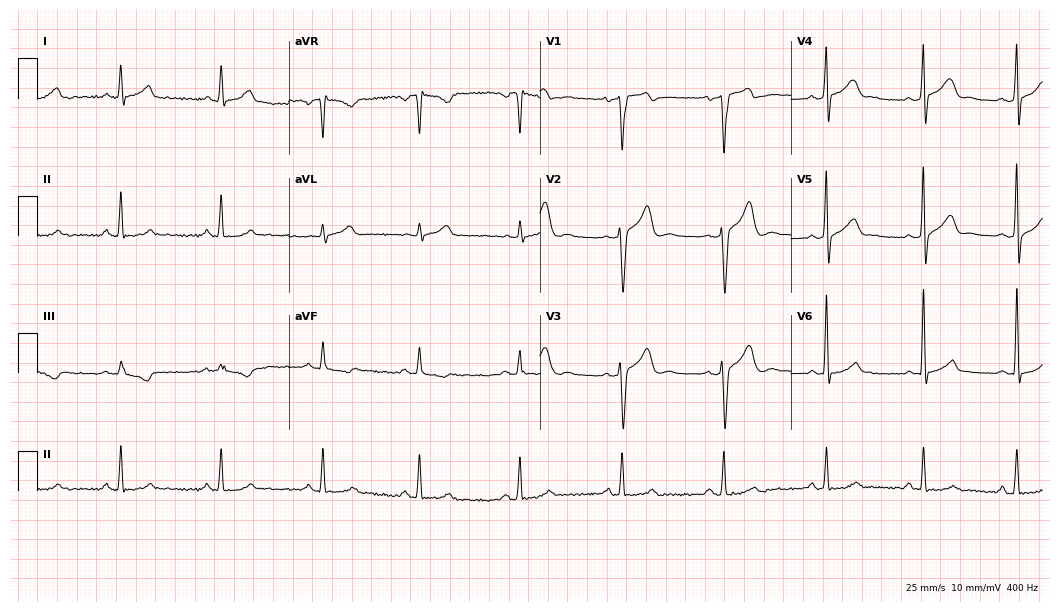
12-lead ECG (10.2-second recording at 400 Hz) from a 30-year-old male. Screened for six findings — first-degree AV block, right bundle branch block (RBBB), left bundle branch block (LBBB), sinus bradycardia, atrial fibrillation (AF), sinus tachycardia — none is recorded.